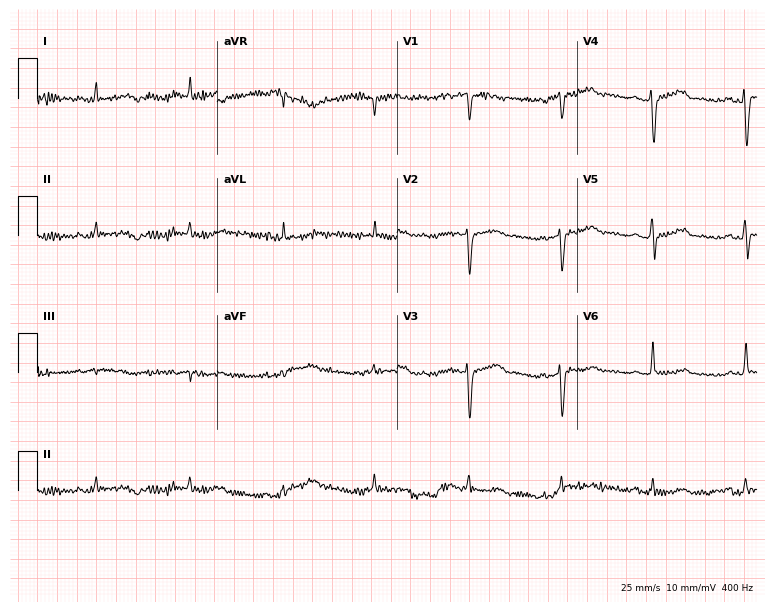
ECG — a woman, 43 years old. Screened for six findings — first-degree AV block, right bundle branch block (RBBB), left bundle branch block (LBBB), sinus bradycardia, atrial fibrillation (AF), sinus tachycardia — none is recorded.